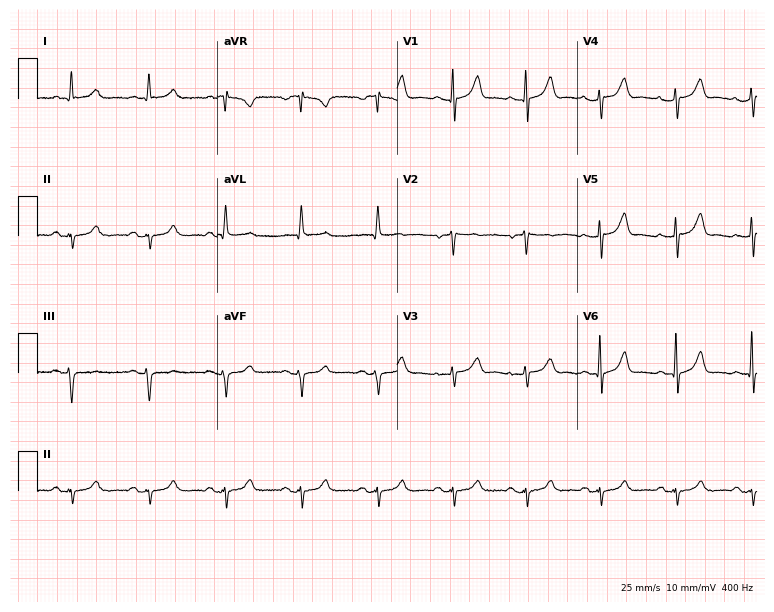
ECG (7.3-second recording at 400 Hz) — a male patient, 78 years old. Screened for six findings — first-degree AV block, right bundle branch block, left bundle branch block, sinus bradycardia, atrial fibrillation, sinus tachycardia — none is recorded. Only these six findings were labelled.